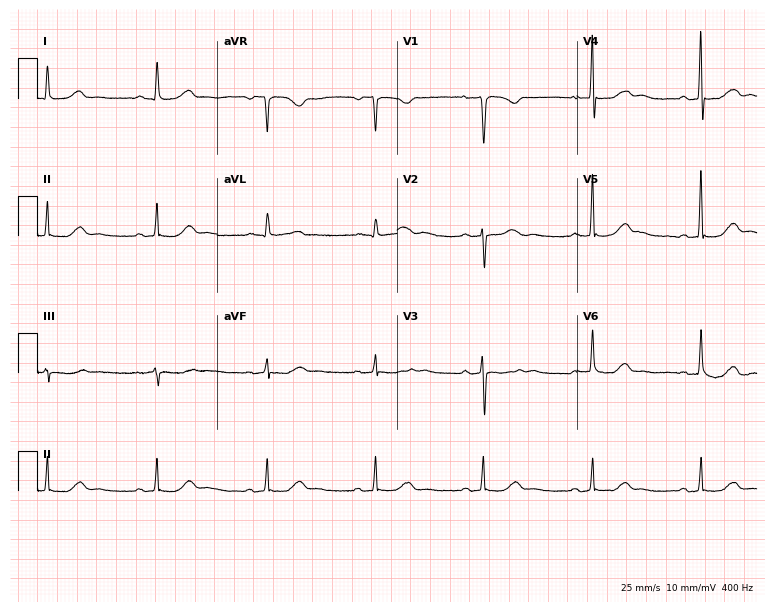
Standard 12-lead ECG recorded from a 62-year-old woman (7.3-second recording at 400 Hz). None of these six findings is recorded: first-degree AV block, right bundle branch block, left bundle branch block, sinus bradycardia, atrial fibrillation, sinus tachycardia.